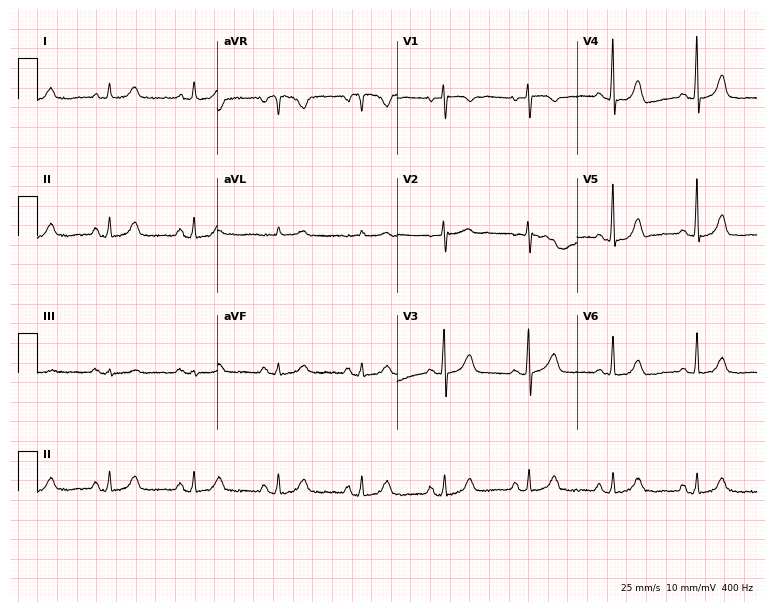
Standard 12-lead ECG recorded from a 64-year-old female. Read as a normal ECG.